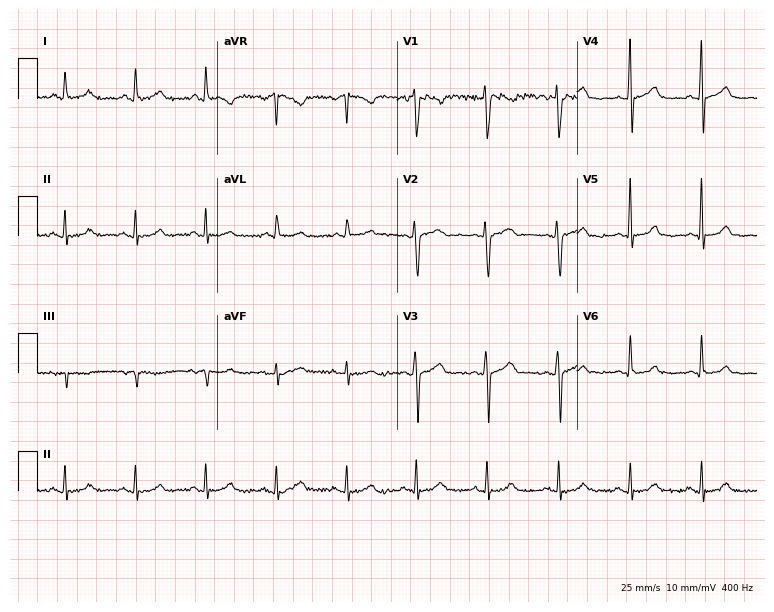
ECG — a 47-year-old female patient. Screened for six findings — first-degree AV block, right bundle branch block, left bundle branch block, sinus bradycardia, atrial fibrillation, sinus tachycardia — none is recorded. Only these six findings were labelled.